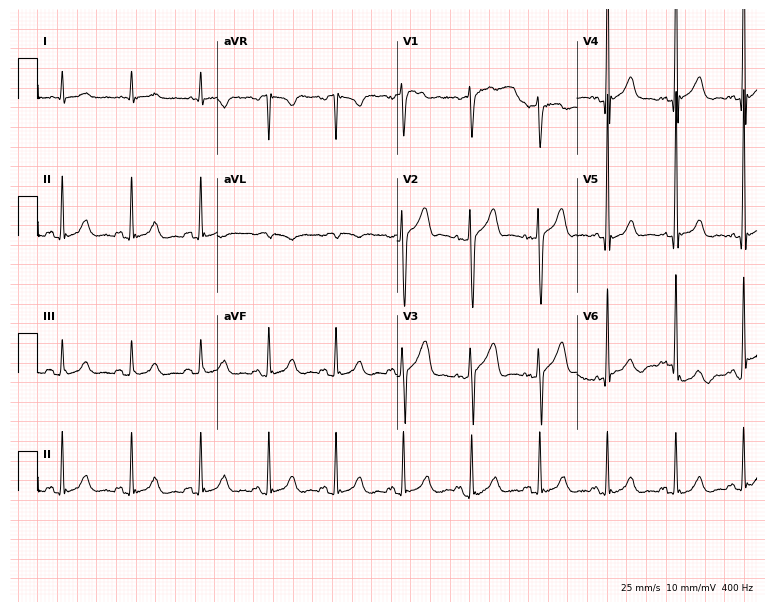
12-lead ECG from a man, 73 years old. Labelled as a normal ECG.